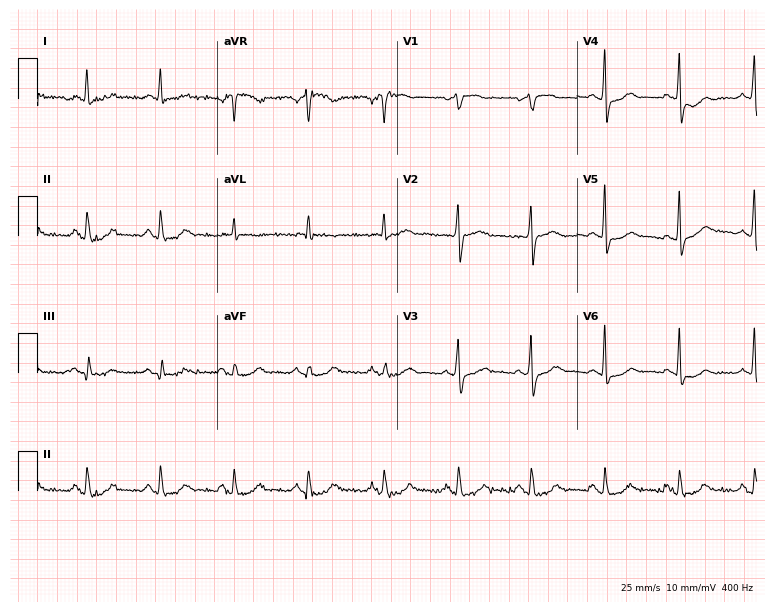
Resting 12-lead electrocardiogram (7.3-second recording at 400 Hz). Patient: a male, 36 years old. Read as a normal ECG.